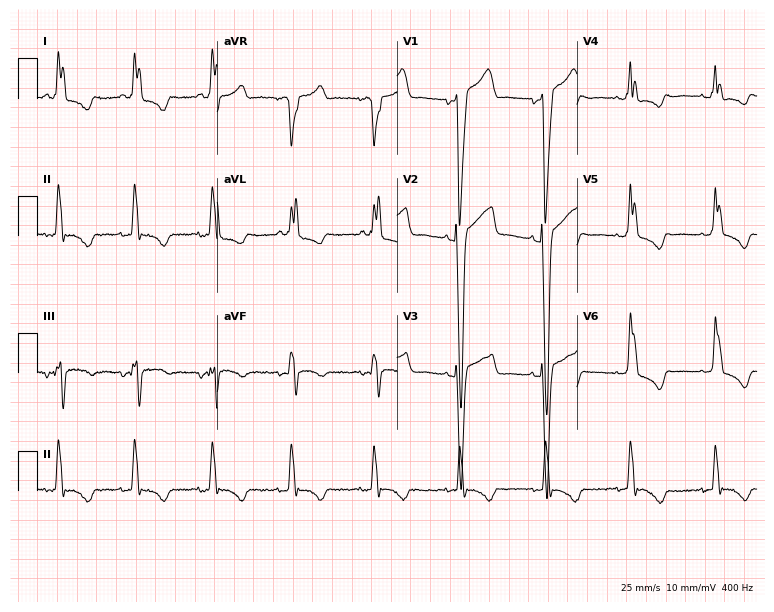
ECG (7.3-second recording at 400 Hz) — a woman, 78 years old. Findings include left bundle branch block (LBBB).